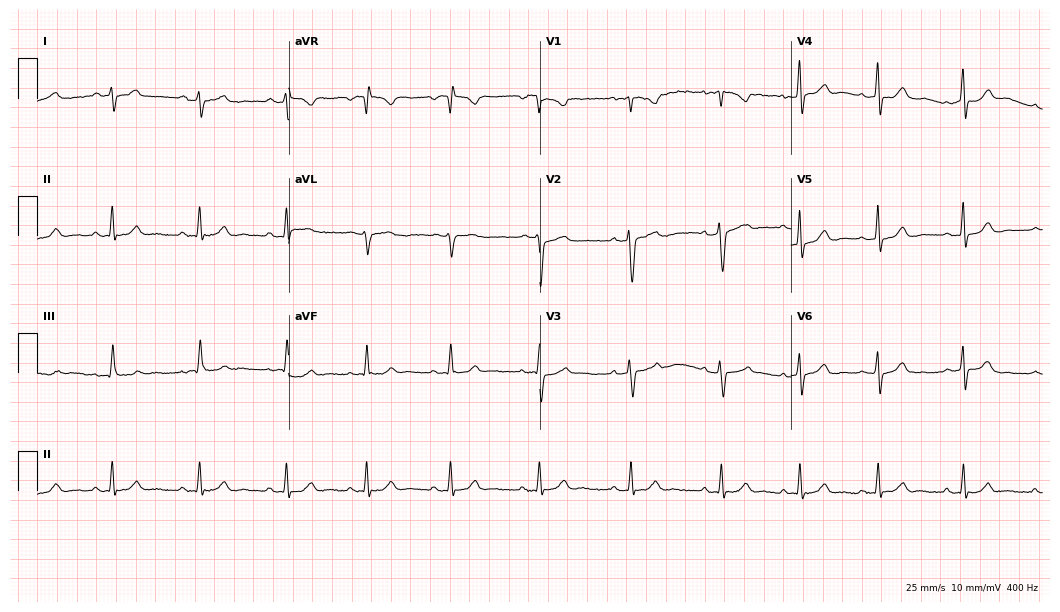
Standard 12-lead ECG recorded from a woman, 24 years old. None of these six findings is recorded: first-degree AV block, right bundle branch block (RBBB), left bundle branch block (LBBB), sinus bradycardia, atrial fibrillation (AF), sinus tachycardia. Other findings, if any, are not listed.